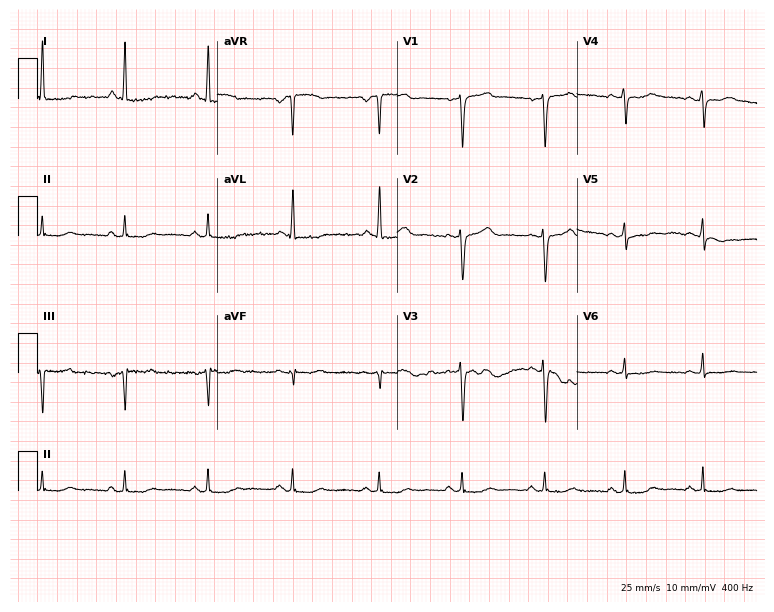
Standard 12-lead ECG recorded from a 58-year-old female (7.3-second recording at 400 Hz). None of these six findings is recorded: first-degree AV block, right bundle branch block, left bundle branch block, sinus bradycardia, atrial fibrillation, sinus tachycardia. Findings outside these six are not listed.